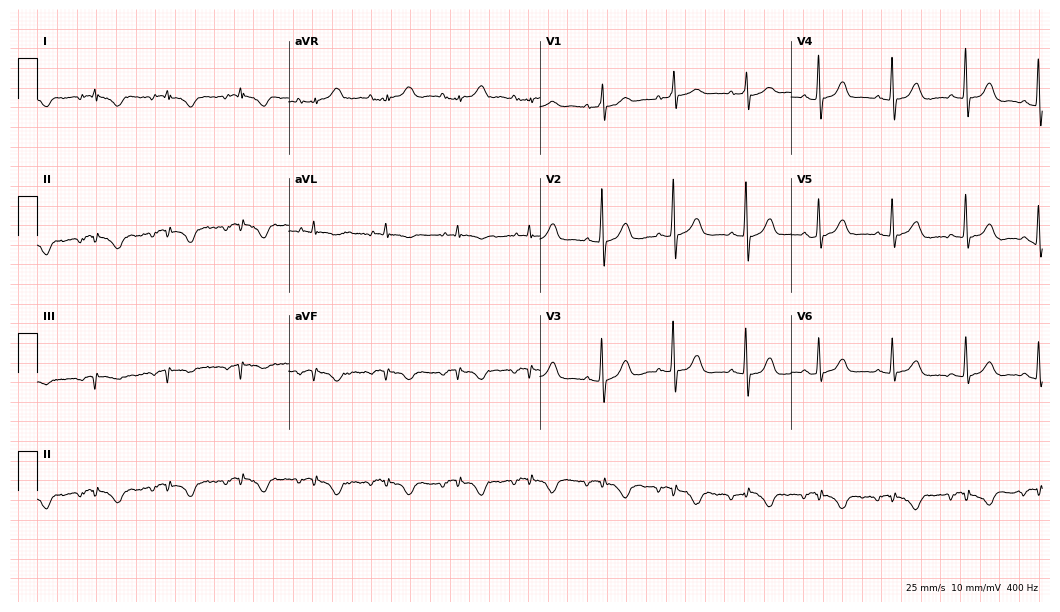
ECG — a 78-year-old woman. Screened for six findings — first-degree AV block, right bundle branch block, left bundle branch block, sinus bradycardia, atrial fibrillation, sinus tachycardia — none is recorded. Only these six findings were labelled.